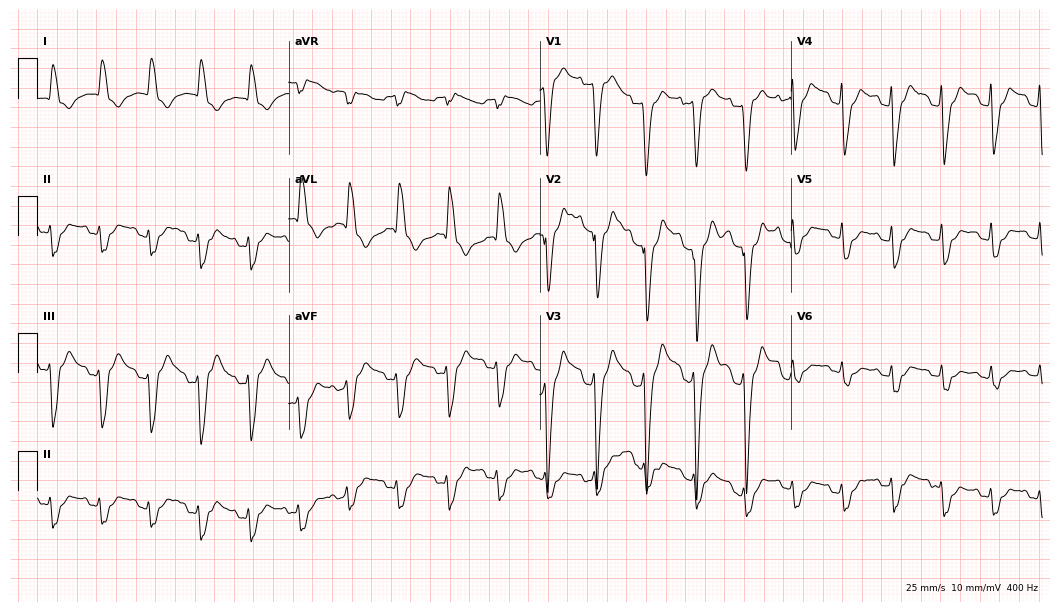
12-lead ECG from an 85-year-old female. Findings include left bundle branch block, sinus tachycardia (a sinus rate of 100 beats per minute or more).